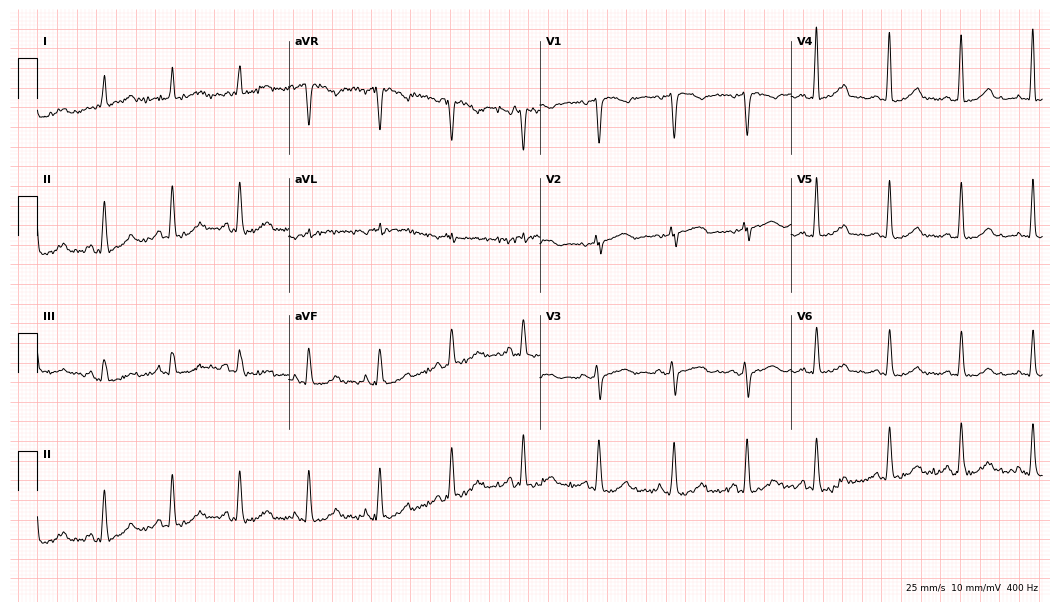
Standard 12-lead ECG recorded from a 46-year-old female patient. Read as a normal ECG.